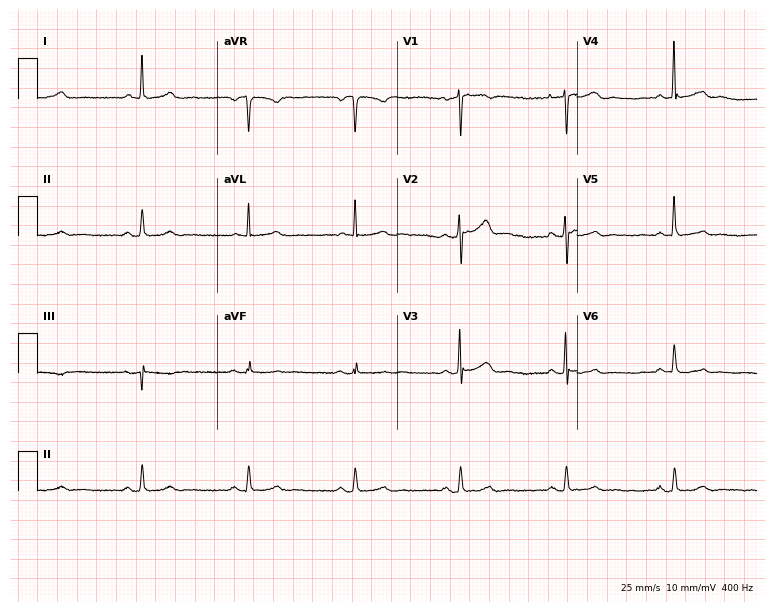
12-lead ECG from a 68-year-old female patient. Labelled as a normal ECG.